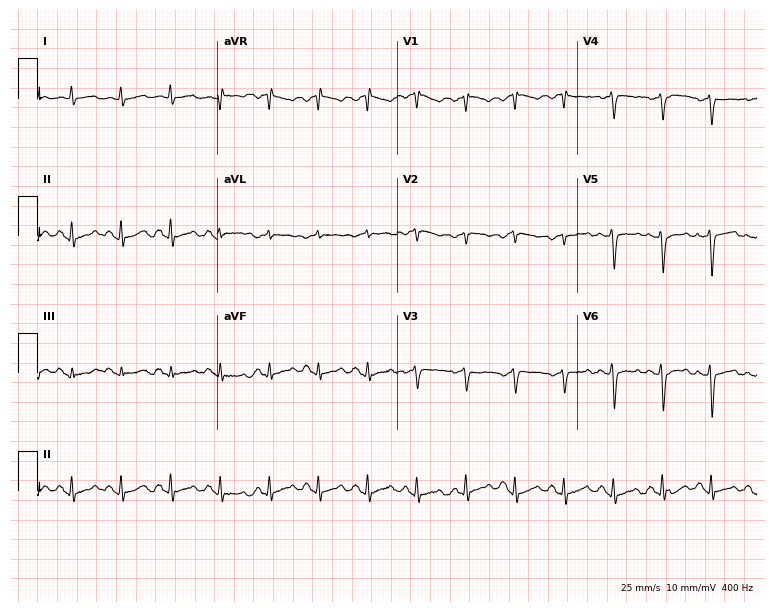
Electrocardiogram (7.3-second recording at 400 Hz), a 51-year-old female. Interpretation includes sinus tachycardia (a sinus rate of 100 beats per minute or more).